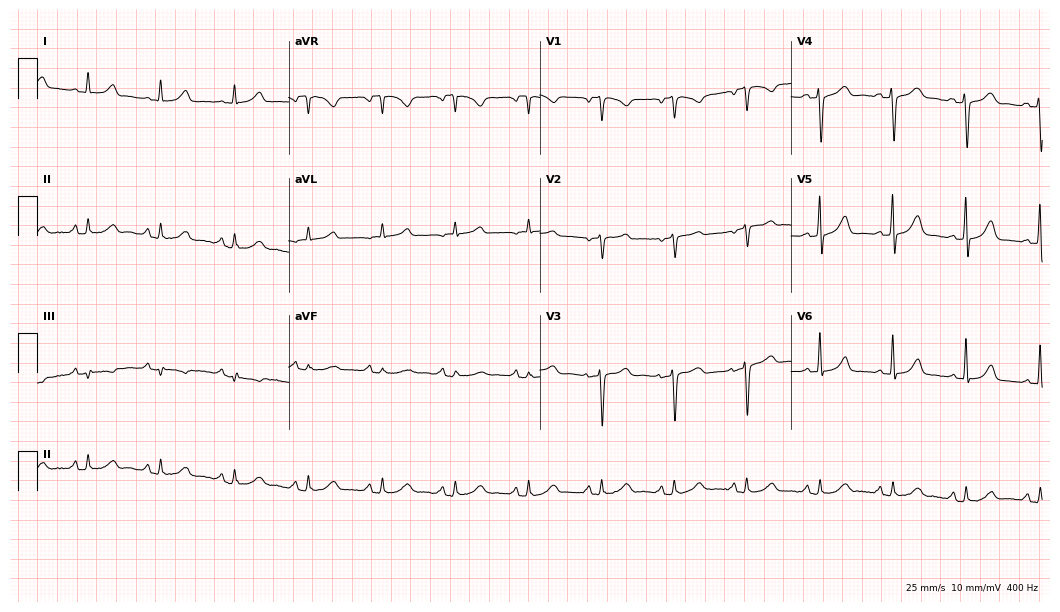
12-lead ECG (10.2-second recording at 400 Hz) from a 52-year-old woman. Screened for six findings — first-degree AV block, right bundle branch block, left bundle branch block, sinus bradycardia, atrial fibrillation, sinus tachycardia — none is recorded. Only these six findings were labelled.